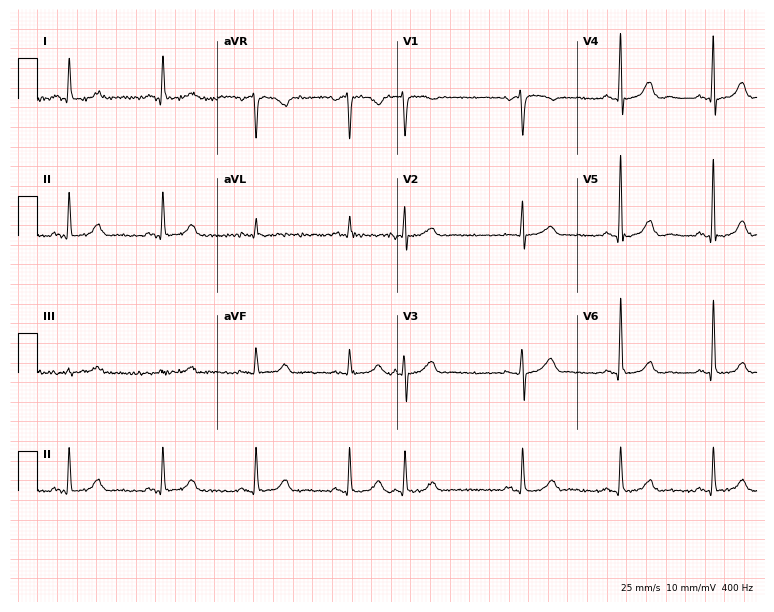
12-lead ECG from a man, 76 years old. Screened for six findings — first-degree AV block, right bundle branch block, left bundle branch block, sinus bradycardia, atrial fibrillation, sinus tachycardia — none is recorded.